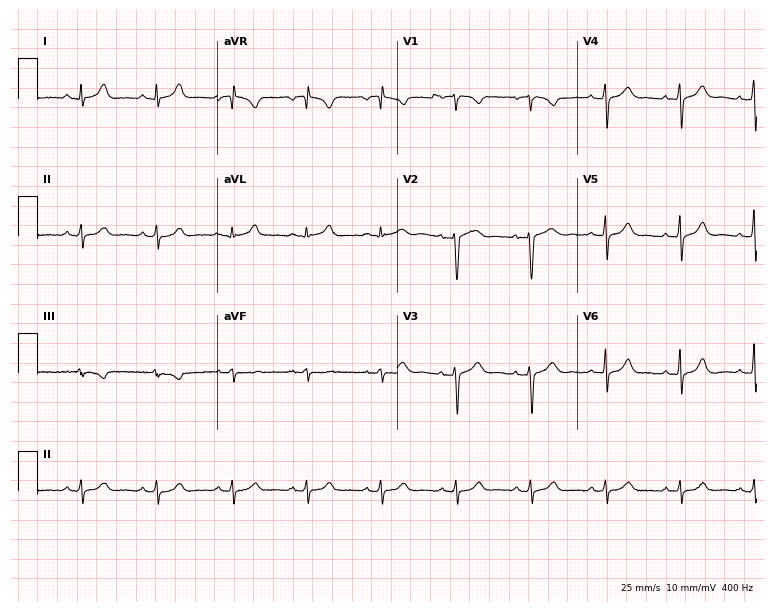
Resting 12-lead electrocardiogram (7.3-second recording at 400 Hz). Patient: a female, 36 years old. Read as a normal ECG.